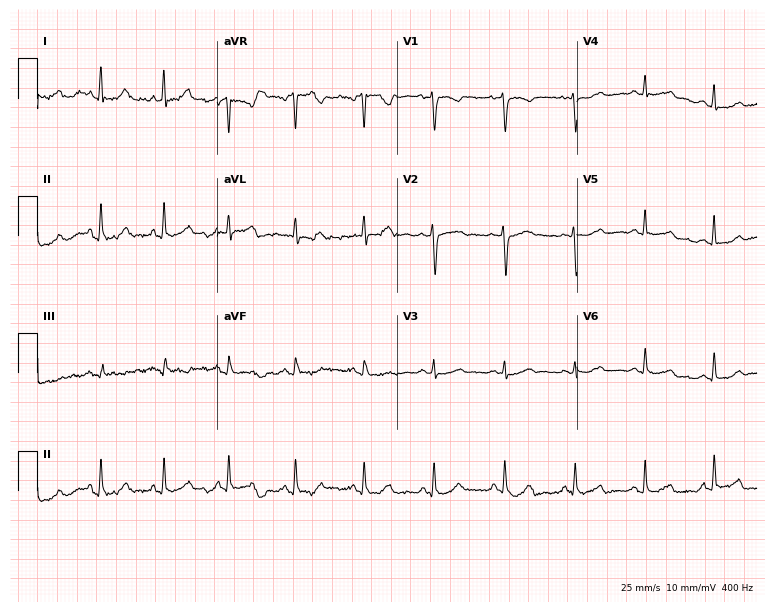
ECG — a woman, 50 years old. Labelled as a normal ECG.